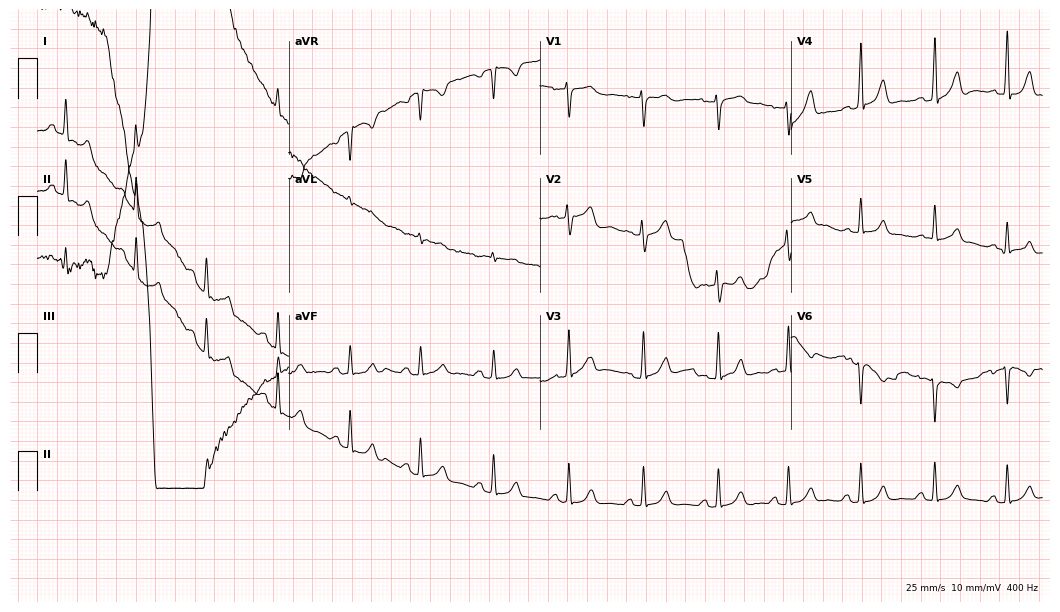
12-lead ECG from a man, 18 years old. Screened for six findings — first-degree AV block, right bundle branch block, left bundle branch block, sinus bradycardia, atrial fibrillation, sinus tachycardia — none is recorded.